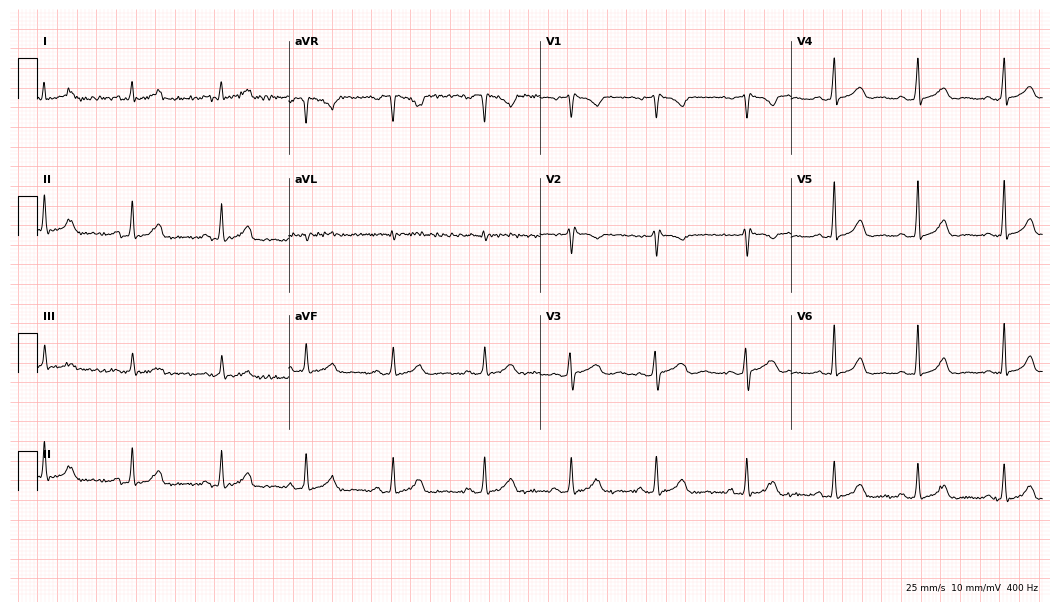
Resting 12-lead electrocardiogram (10.2-second recording at 400 Hz). Patient: a woman, 31 years old. None of these six findings is recorded: first-degree AV block, right bundle branch block, left bundle branch block, sinus bradycardia, atrial fibrillation, sinus tachycardia. Other findings, if any, are not listed.